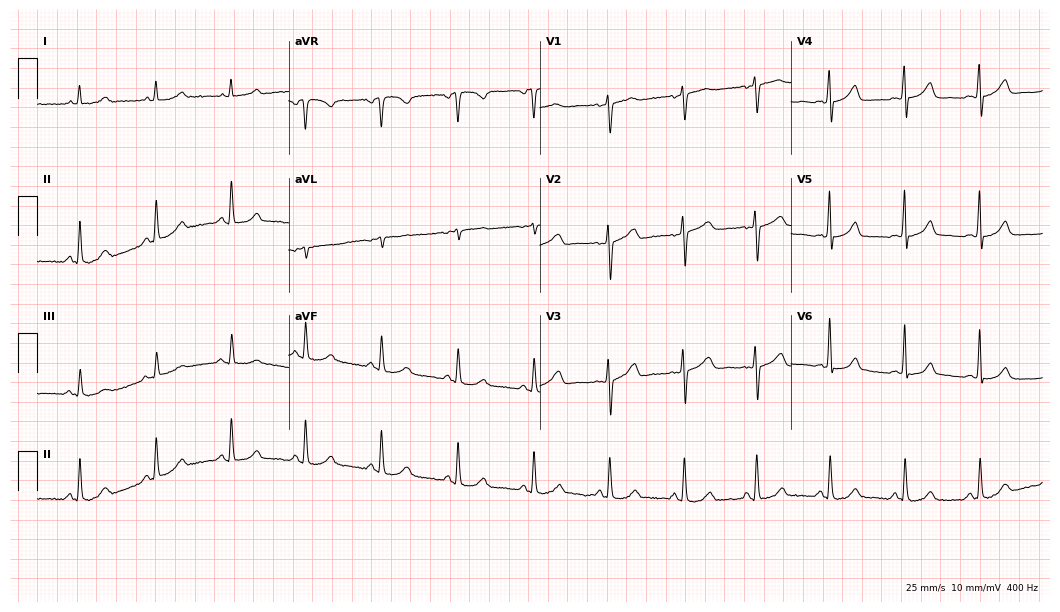
12-lead ECG (10.2-second recording at 400 Hz) from a 49-year-old woman. Labelled as a normal ECG.